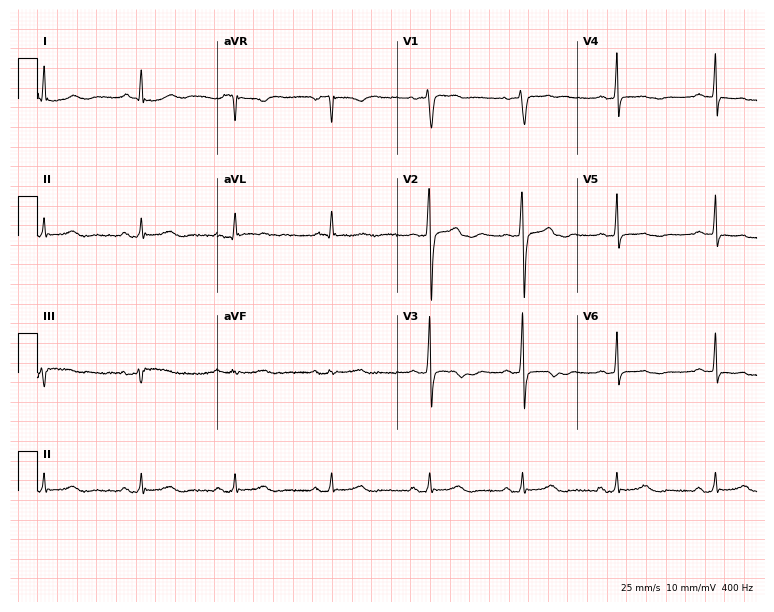
12-lead ECG from a man, 53 years old (7.3-second recording at 400 Hz). No first-degree AV block, right bundle branch block, left bundle branch block, sinus bradycardia, atrial fibrillation or sinus tachycardia recorded for this tracing.